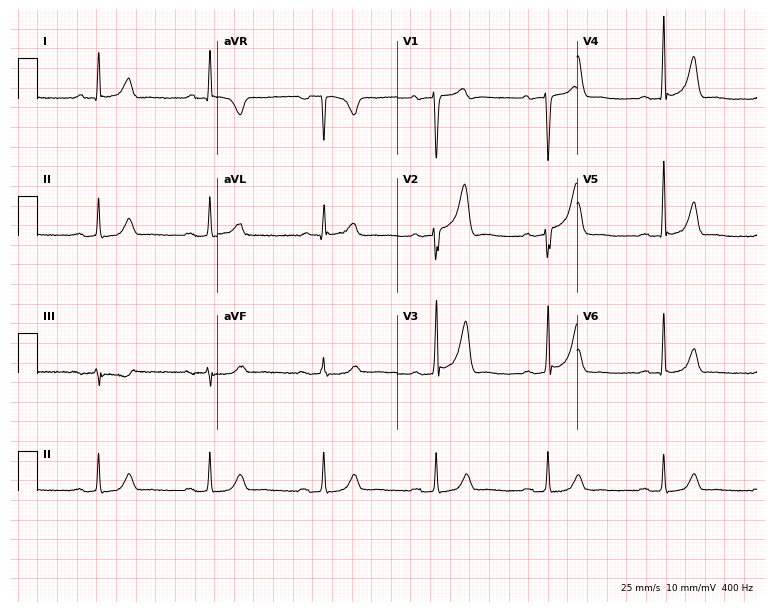
Standard 12-lead ECG recorded from a 54-year-old male. The tracing shows first-degree AV block.